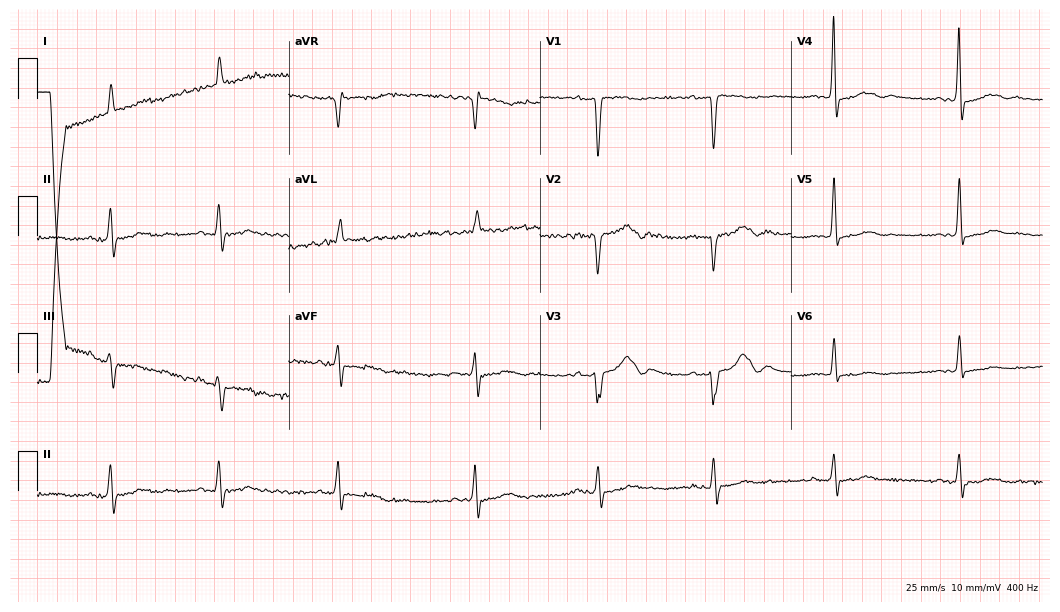
Standard 12-lead ECG recorded from an 80-year-old female patient. None of these six findings is recorded: first-degree AV block, right bundle branch block (RBBB), left bundle branch block (LBBB), sinus bradycardia, atrial fibrillation (AF), sinus tachycardia. Other findings, if any, are not listed.